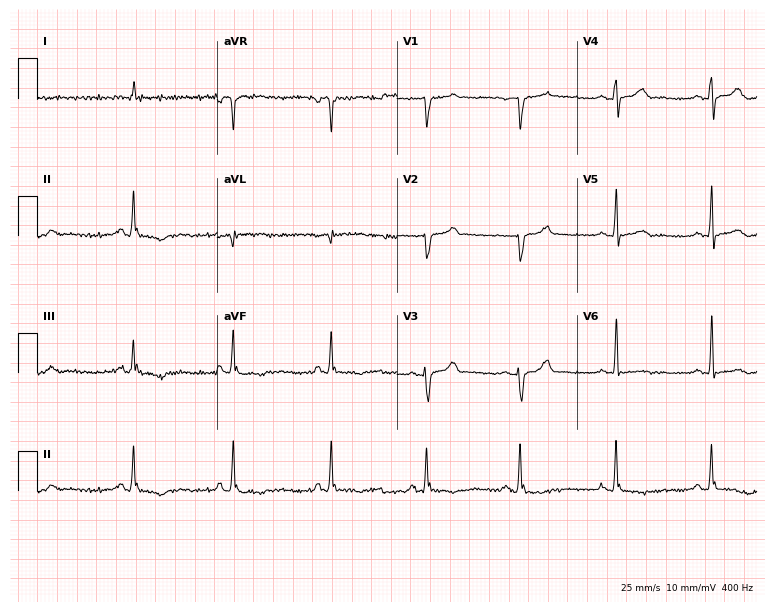
12-lead ECG from a male patient, 52 years old. Screened for six findings — first-degree AV block, right bundle branch block (RBBB), left bundle branch block (LBBB), sinus bradycardia, atrial fibrillation (AF), sinus tachycardia — none is recorded. Only these six findings were labelled.